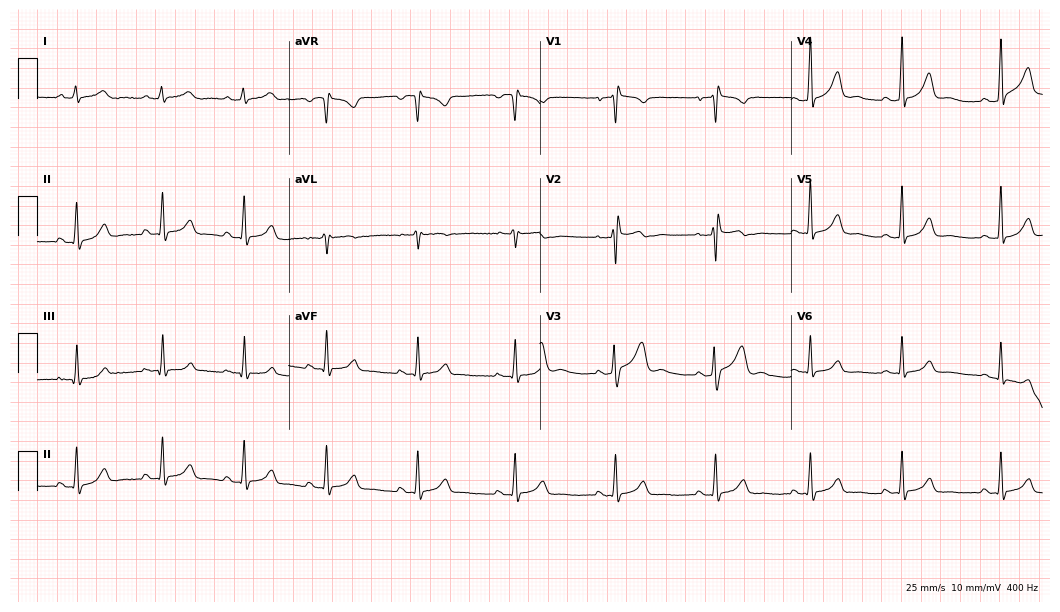
12-lead ECG from a 23-year-old female (10.2-second recording at 400 Hz). No first-degree AV block, right bundle branch block (RBBB), left bundle branch block (LBBB), sinus bradycardia, atrial fibrillation (AF) or sinus tachycardia recorded for this tracing. Other findings, if any, are not listed.